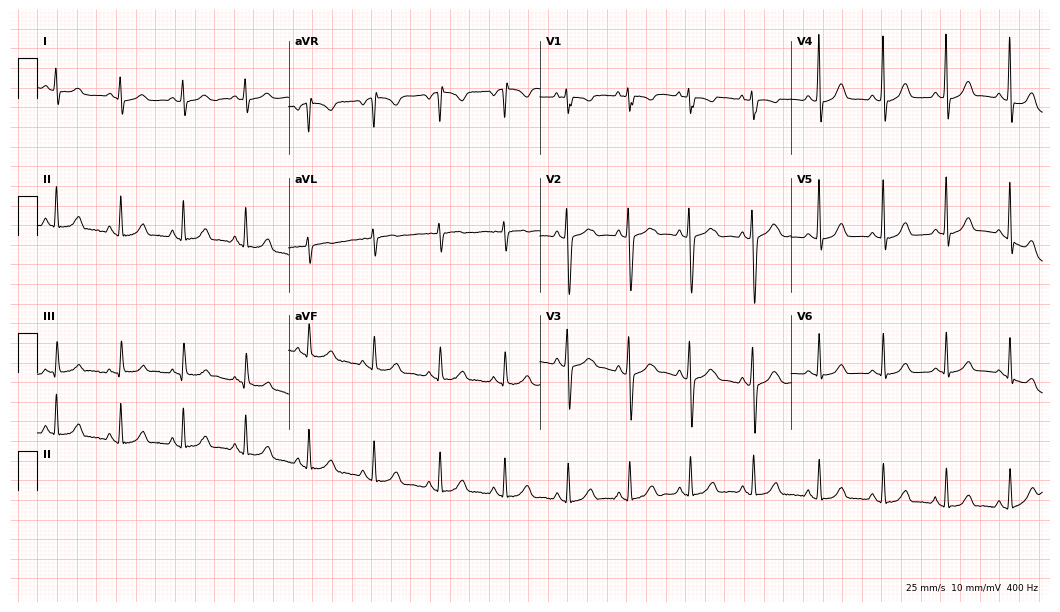
ECG (10.2-second recording at 400 Hz) — an 18-year-old female patient. Labelled as a normal ECG.